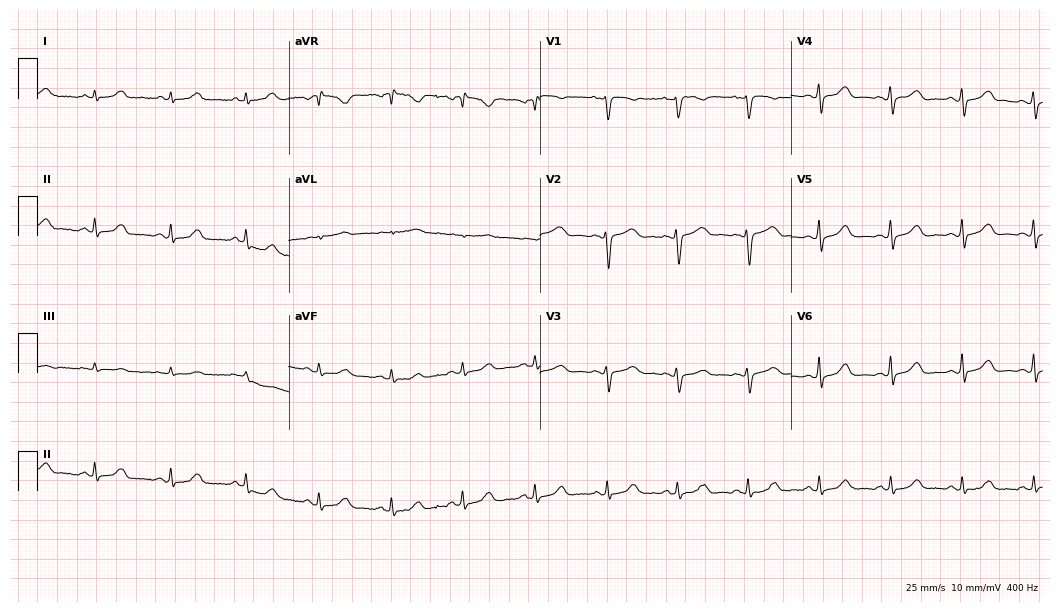
12-lead ECG from a female, 36 years old. Recorded interpretation: within normal limits.